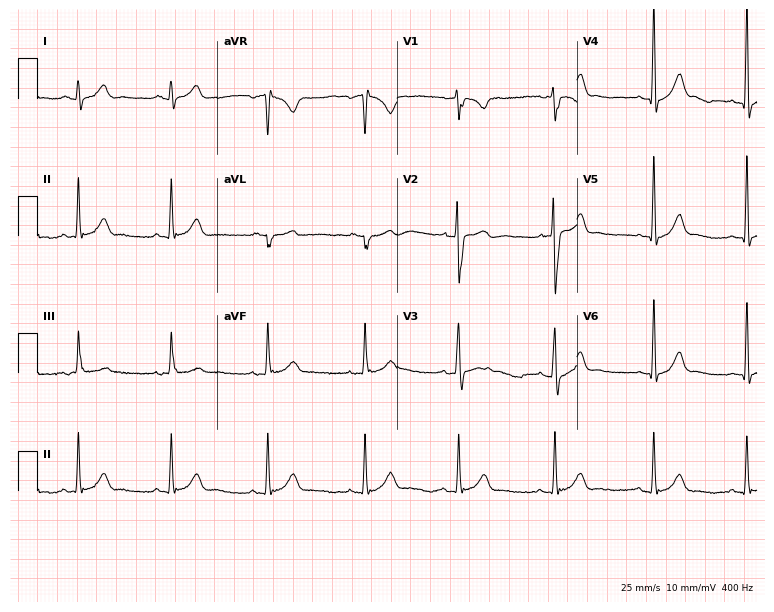
ECG — a 17-year-old male patient. Labelled as a normal ECG.